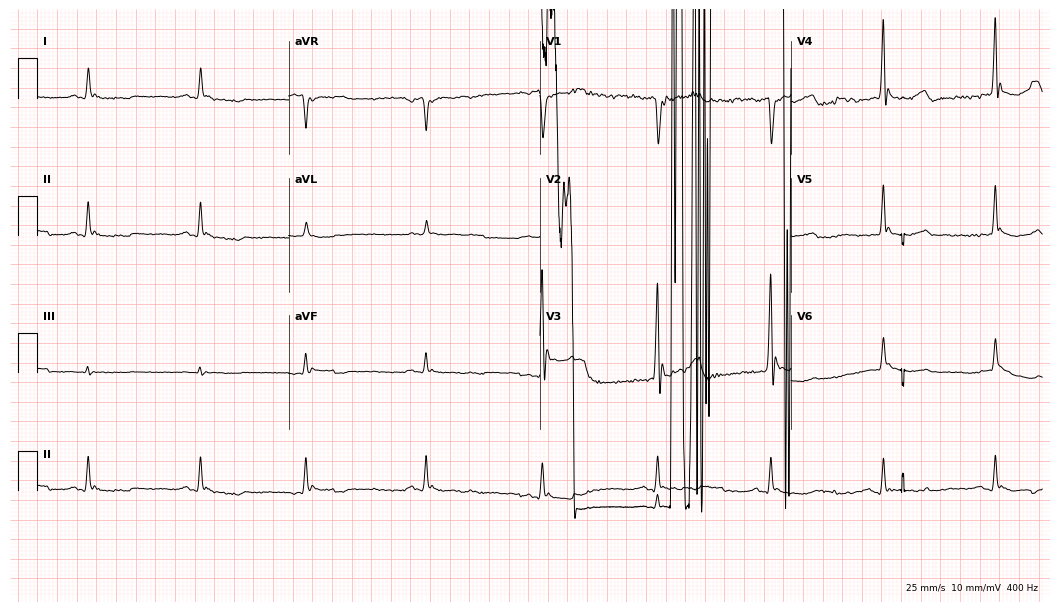
ECG — a man, 79 years old. Findings include atrial fibrillation (AF).